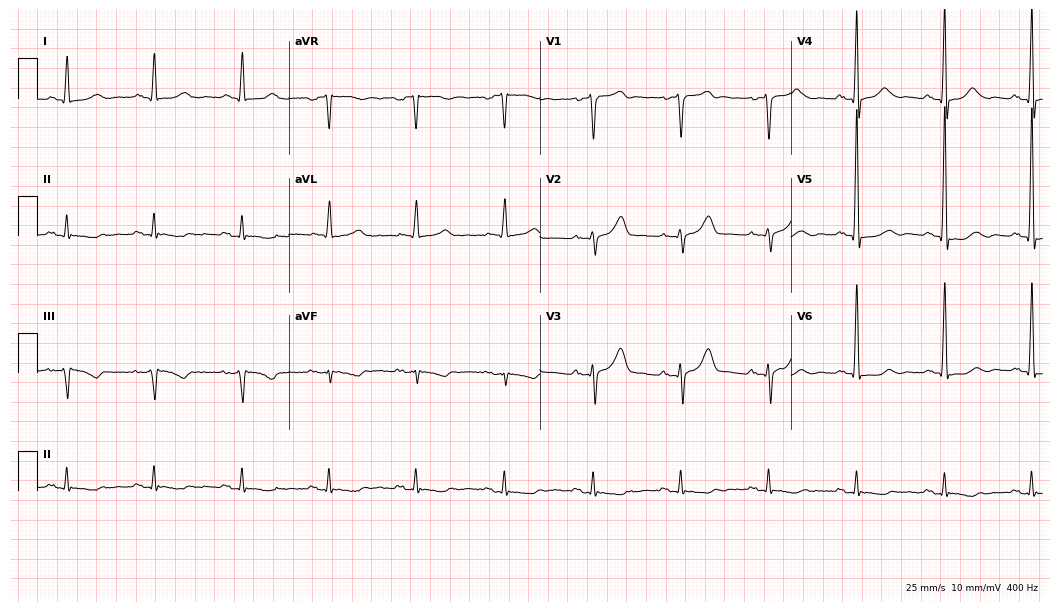
Electrocardiogram (10.2-second recording at 400 Hz), a male patient, 64 years old. Of the six screened findings (first-degree AV block, right bundle branch block, left bundle branch block, sinus bradycardia, atrial fibrillation, sinus tachycardia), none is recorded. Findings outside these six are not listed.